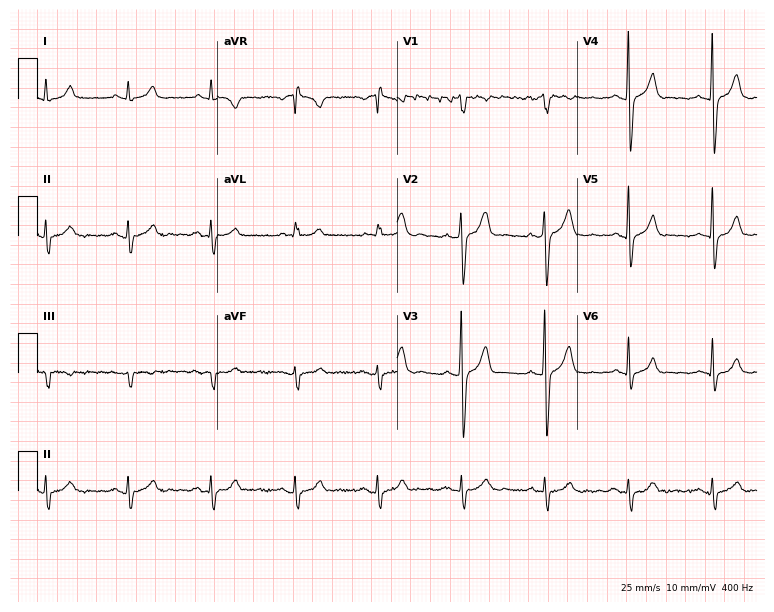
Electrocardiogram, a 46-year-old man. Of the six screened findings (first-degree AV block, right bundle branch block, left bundle branch block, sinus bradycardia, atrial fibrillation, sinus tachycardia), none is recorded. Other findings, if any, are not listed.